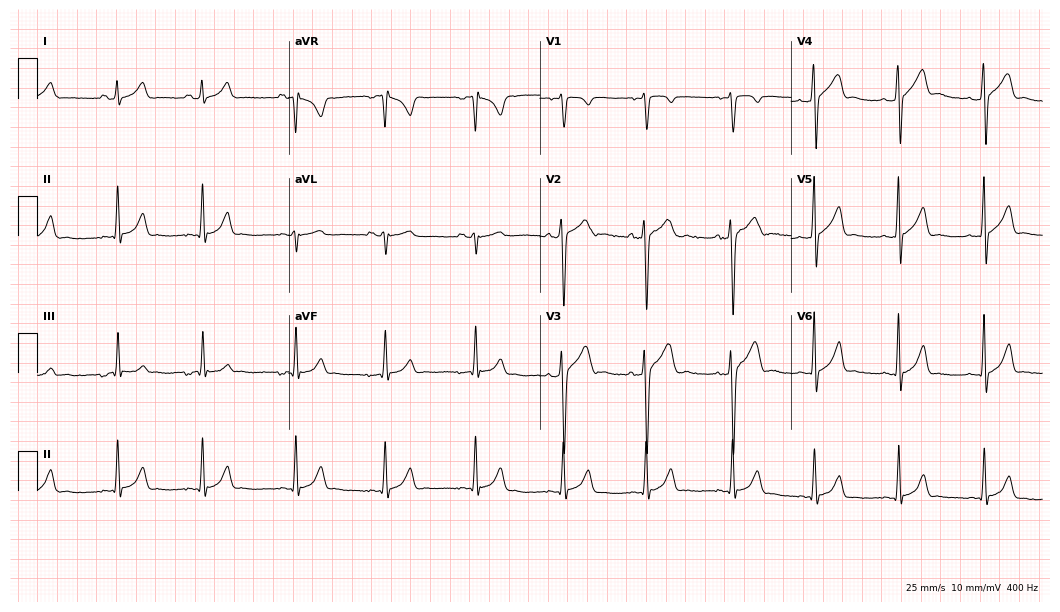
ECG — a male patient, 19 years old. Labelled as a normal ECG.